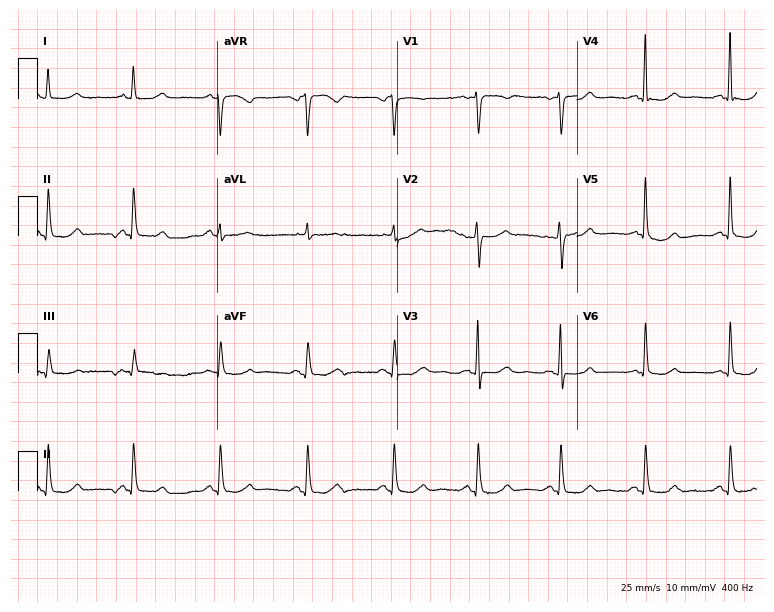
12-lead ECG from a 63-year-old woman. Screened for six findings — first-degree AV block, right bundle branch block, left bundle branch block, sinus bradycardia, atrial fibrillation, sinus tachycardia — none is recorded.